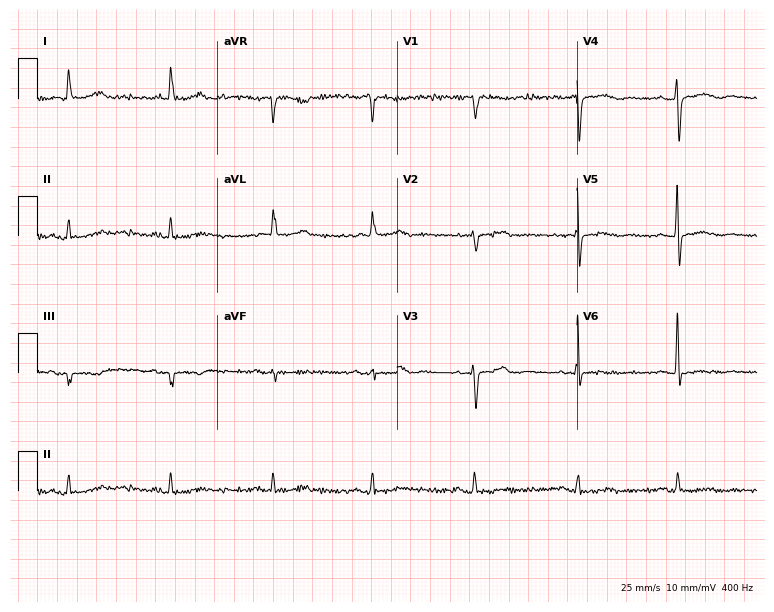
ECG (7.3-second recording at 400 Hz) — a 79-year-old woman. Screened for six findings — first-degree AV block, right bundle branch block, left bundle branch block, sinus bradycardia, atrial fibrillation, sinus tachycardia — none is recorded.